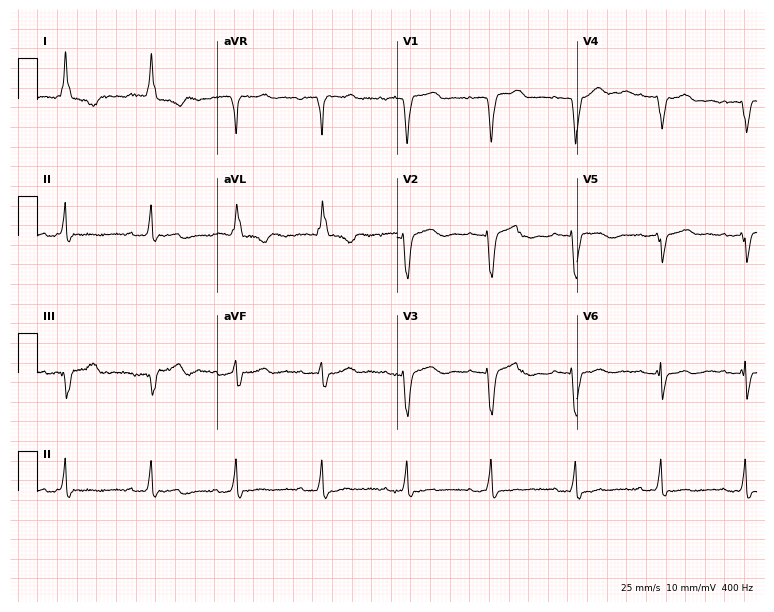
ECG — an 83-year-old female patient. Screened for six findings — first-degree AV block, right bundle branch block (RBBB), left bundle branch block (LBBB), sinus bradycardia, atrial fibrillation (AF), sinus tachycardia — none is recorded.